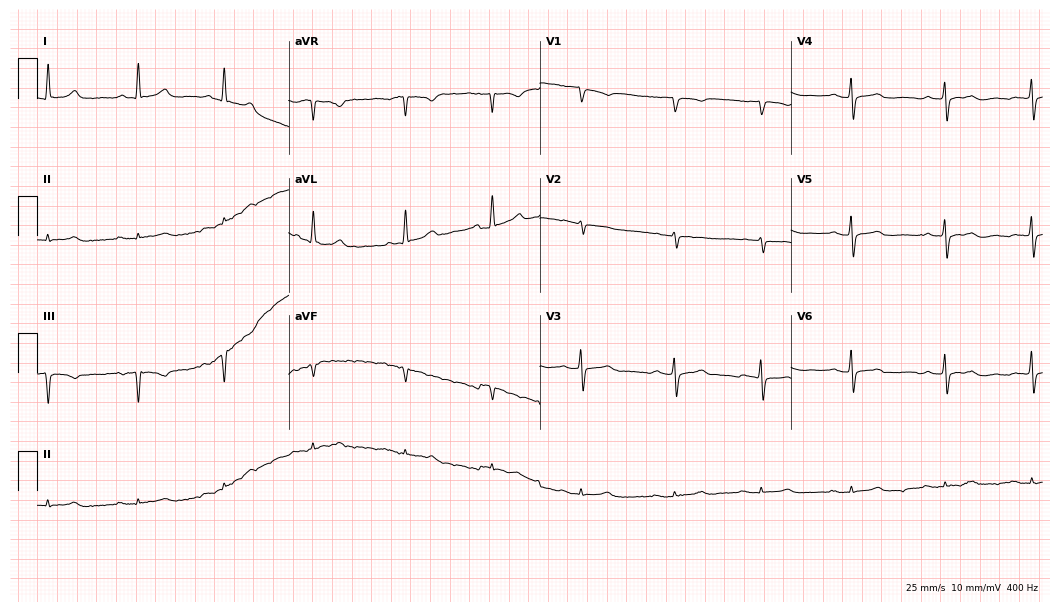
Electrocardiogram, a 72-year-old male. Of the six screened findings (first-degree AV block, right bundle branch block, left bundle branch block, sinus bradycardia, atrial fibrillation, sinus tachycardia), none is recorded. Only these six findings were labelled.